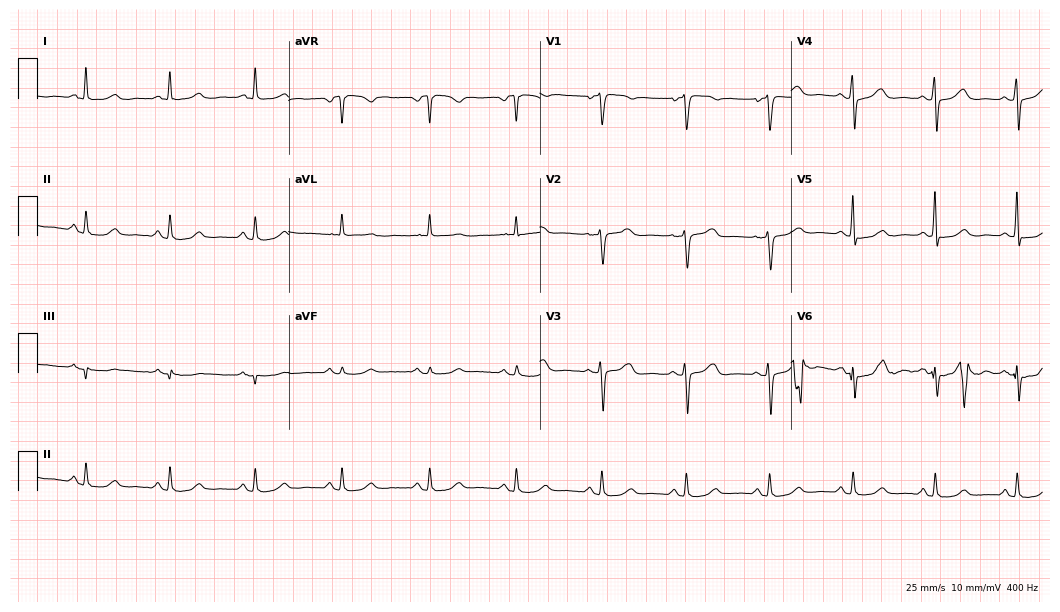
Electrocardiogram, a 55-year-old female patient. Of the six screened findings (first-degree AV block, right bundle branch block, left bundle branch block, sinus bradycardia, atrial fibrillation, sinus tachycardia), none is recorded.